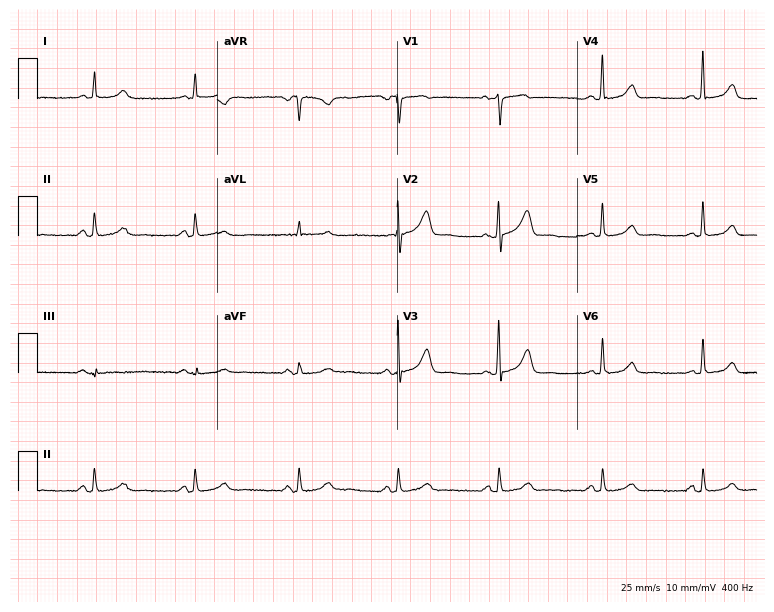
Electrocardiogram, a 62-year-old female. Overall reading on record: normal ECG.